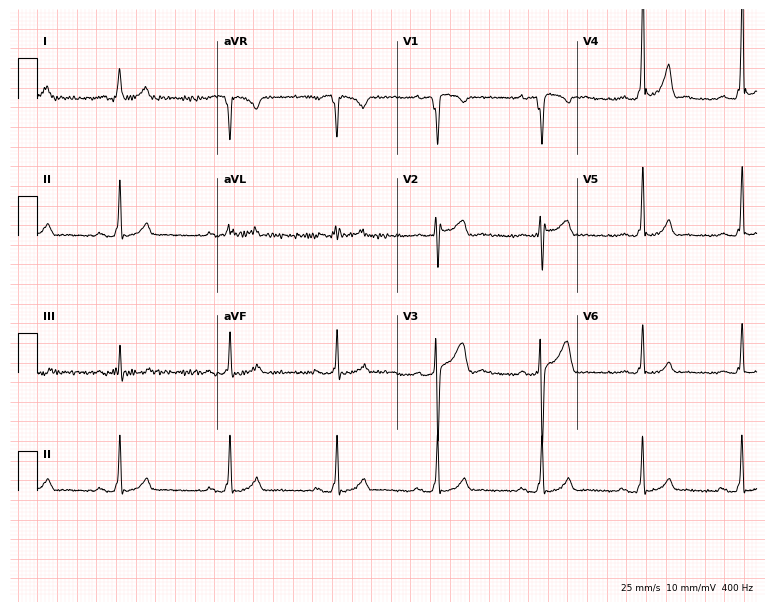
ECG — a man, 27 years old. Screened for six findings — first-degree AV block, right bundle branch block, left bundle branch block, sinus bradycardia, atrial fibrillation, sinus tachycardia — none is recorded. Other findings, if any, are not listed.